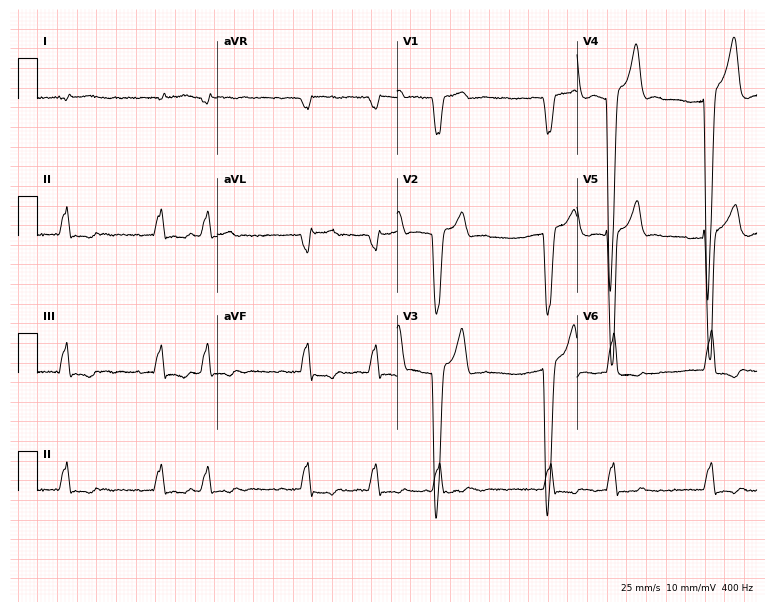
Standard 12-lead ECG recorded from a 67-year-old male. The tracing shows left bundle branch block (LBBB), atrial fibrillation (AF).